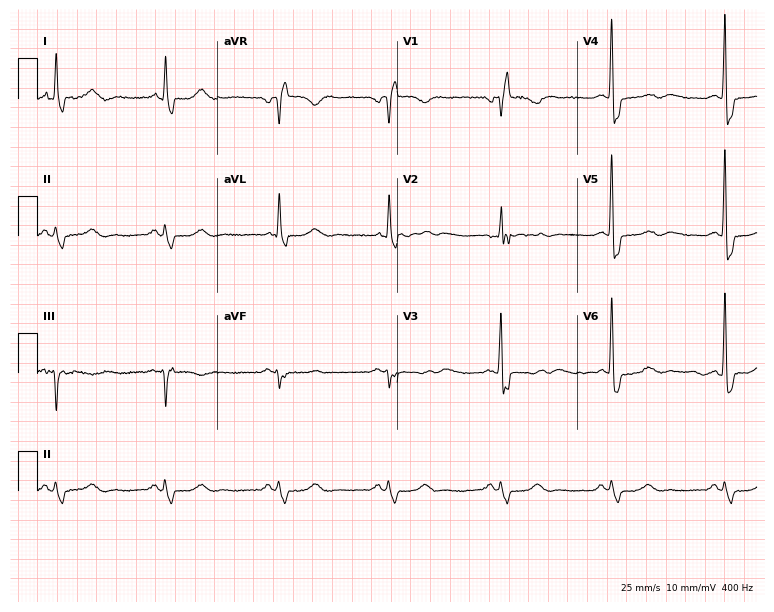
12-lead ECG (7.3-second recording at 400 Hz) from an 83-year-old female patient. Findings include right bundle branch block.